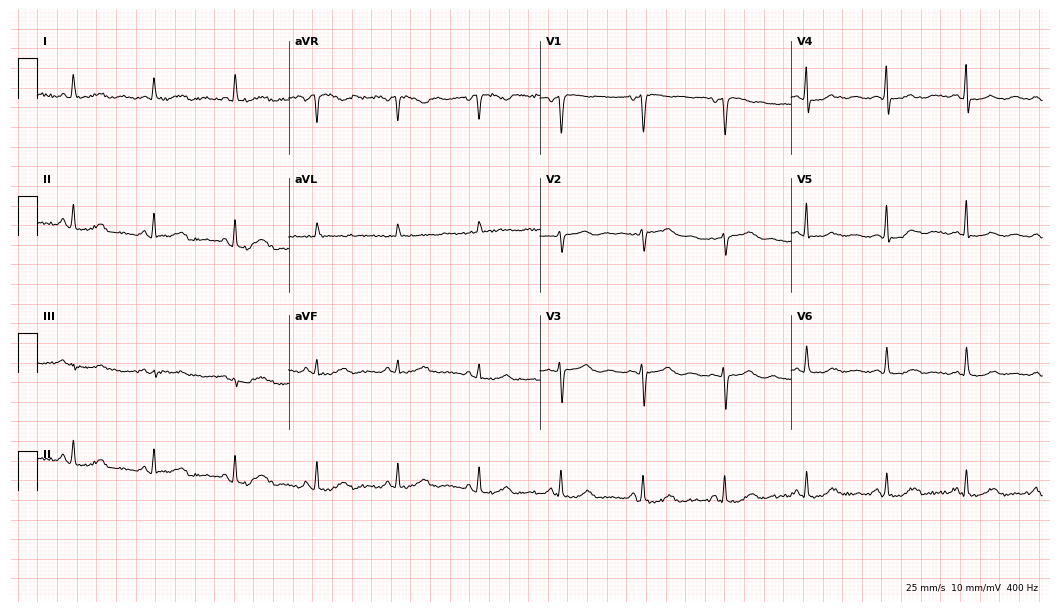
Standard 12-lead ECG recorded from a woman, 65 years old (10.2-second recording at 400 Hz). Read as a normal ECG.